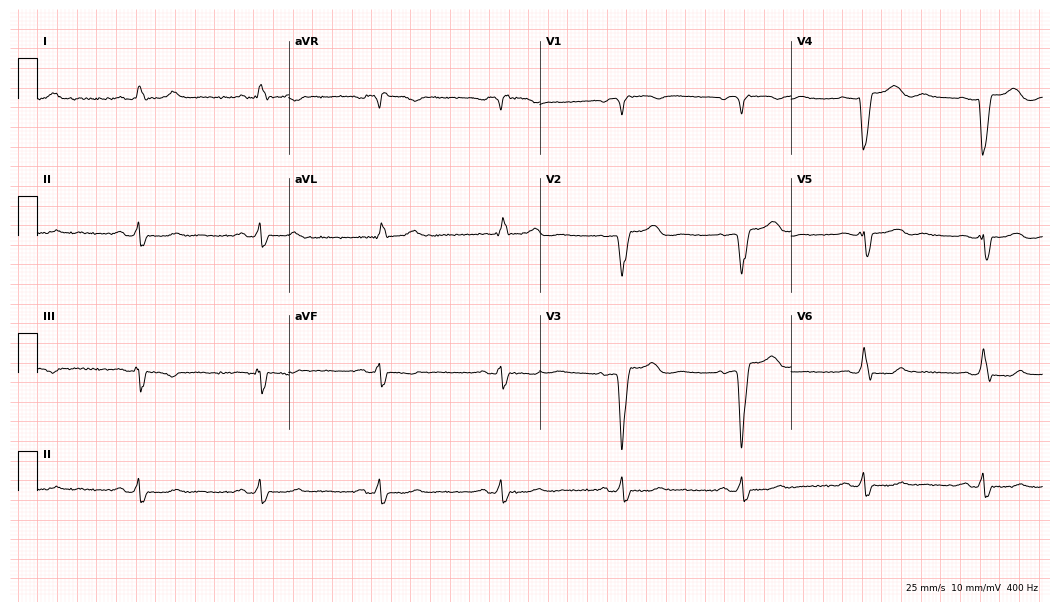
Electrocardiogram, a 67-year-old woman. Interpretation includes left bundle branch block (LBBB), sinus bradycardia (a sinus rate of 50 beats per minute or less).